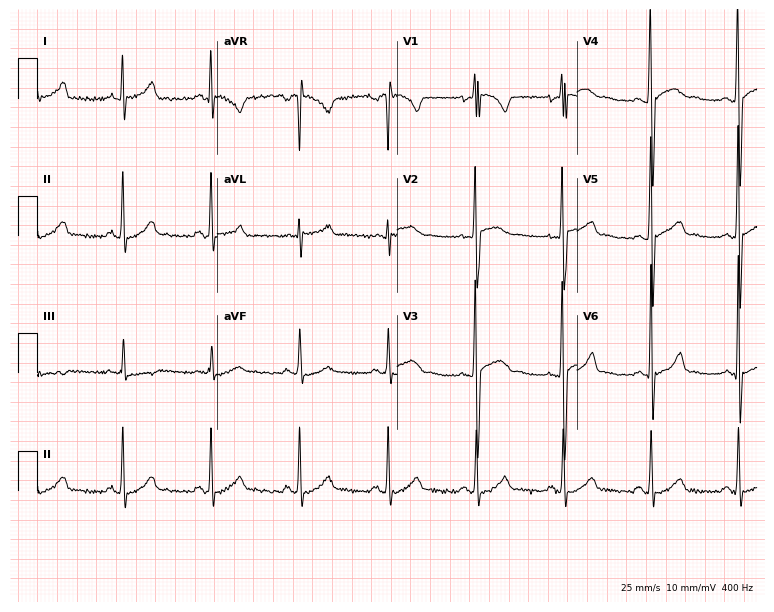
12-lead ECG from a male, 31 years old (7.3-second recording at 400 Hz). Recorded interpretation: within normal limits.